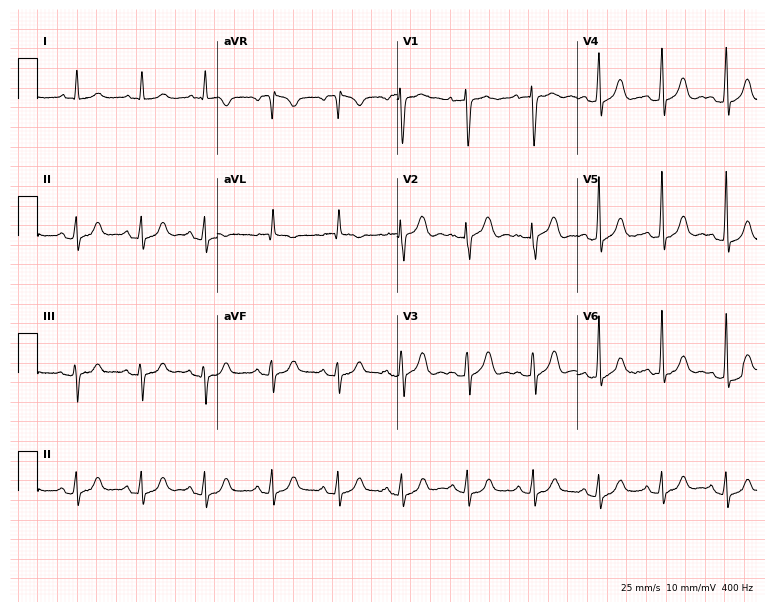
Standard 12-lead ECG recorded from an 83-year-old male patient. Read as a normal ECG.